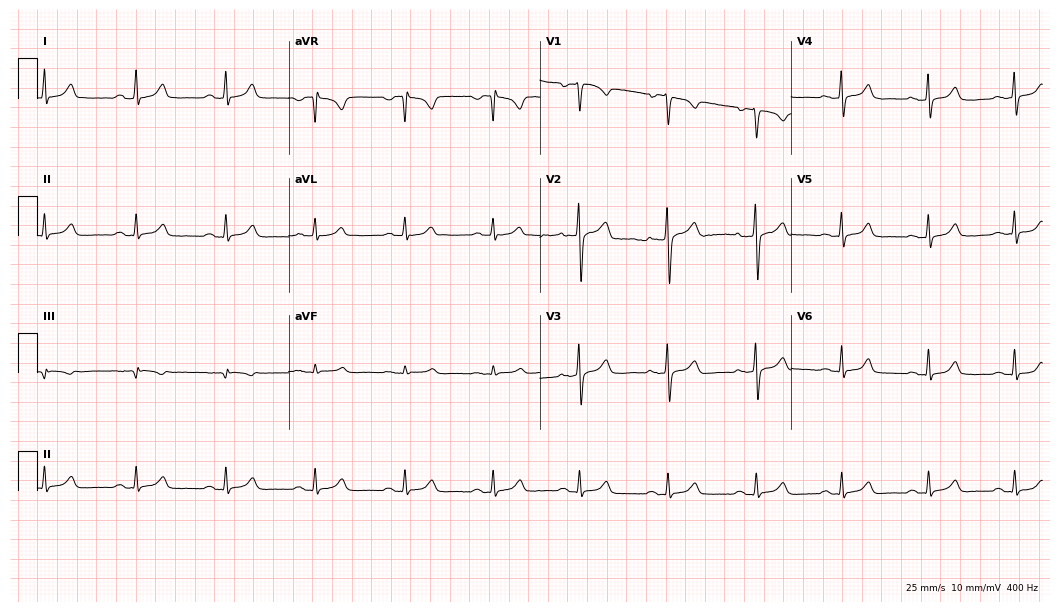
Electrocardiogram, a man, 51 years old. Overall reading on record: normal ECG.